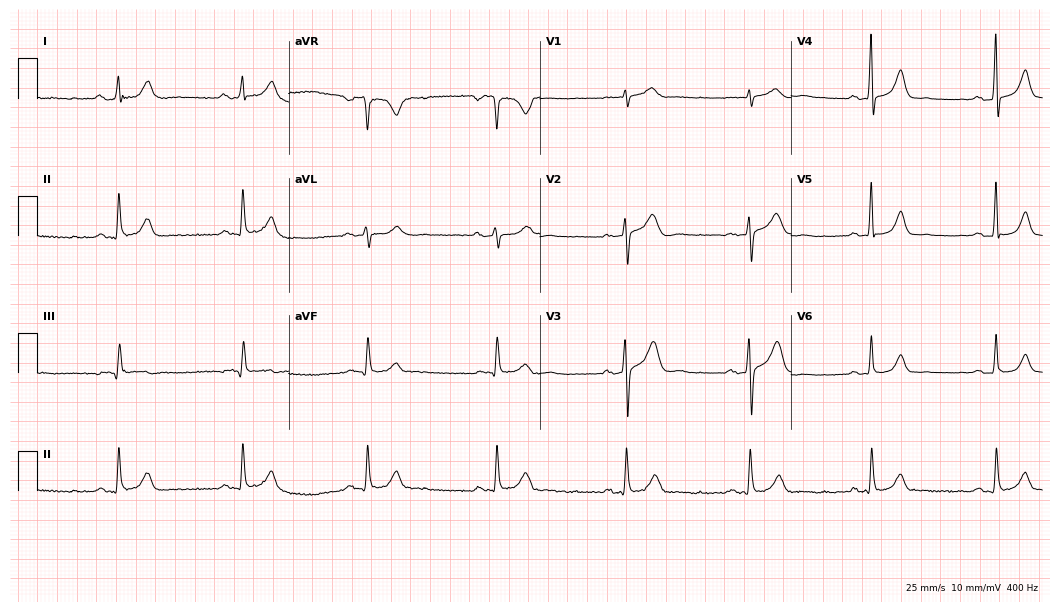
ECG (10.2-second recording at 400 Hz) — an 82-year-old female. Findings include sinus bradycardia (a sinus rate of 50 beats per minute or less).